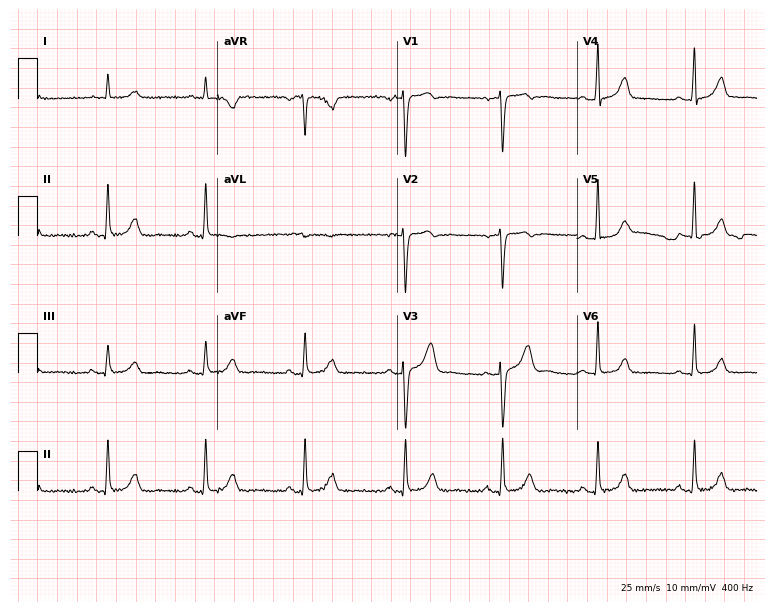
ECG (7.3-second recording at 400 Hz) — a 62-year-old female patient. Labelled as a normal ECG.